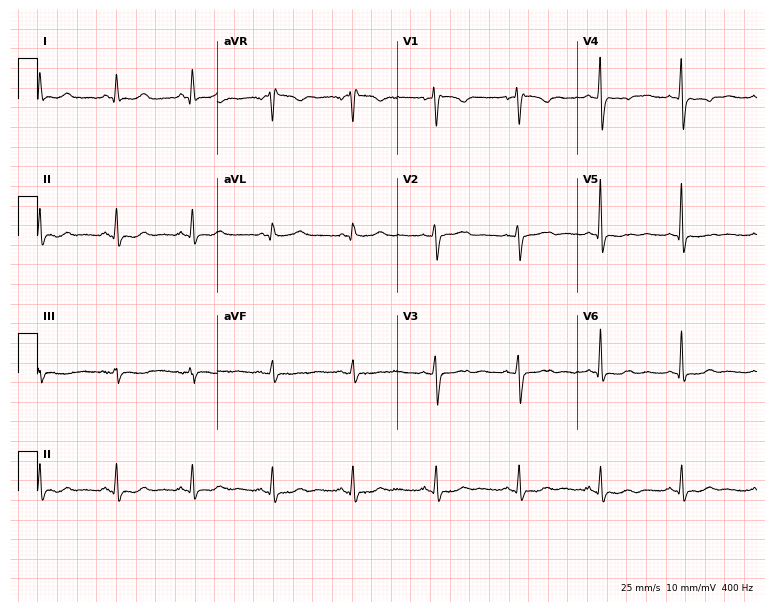
12-lead ECG from a 57-year-old female (7.3-second recording at 400 Hz). Recorded interpretation: within normal limits.